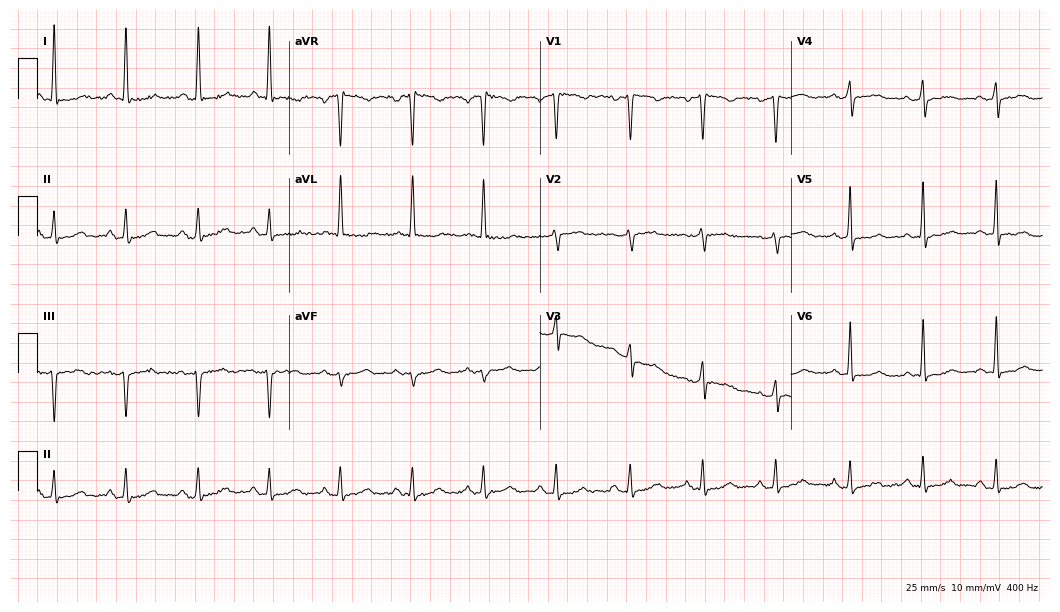
Electrocardiogram (10.2-second recording at 400 Hz), a woman, 51 years old. Of the six screened findings (first-degree AV block, right bundle branch block (RBBB), left bundle branch block (LBBB), sinus bradycardia, atrial fibrillation (AF), sinus tachycardia), none is recorded.